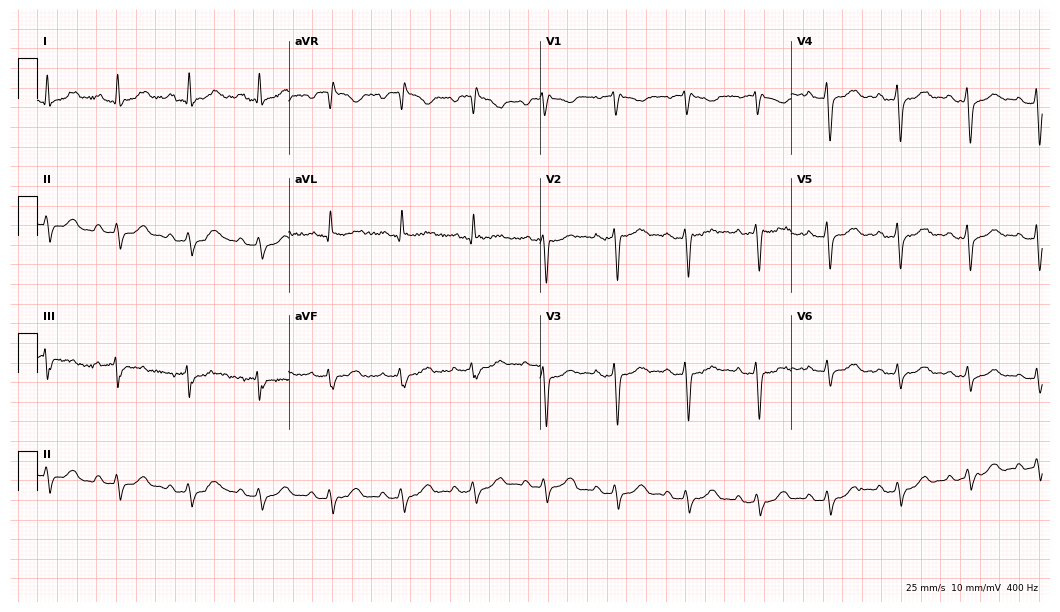
Standard 12-lead ECG recorded from a 55-year-old female patient. None of these six findings is recorded: first-degree AV block, right bundle branch block, left bundle branch block, sinus bradycardia, atrial fibrillation, sinus tachycardia. Findings outside these six are not listed.